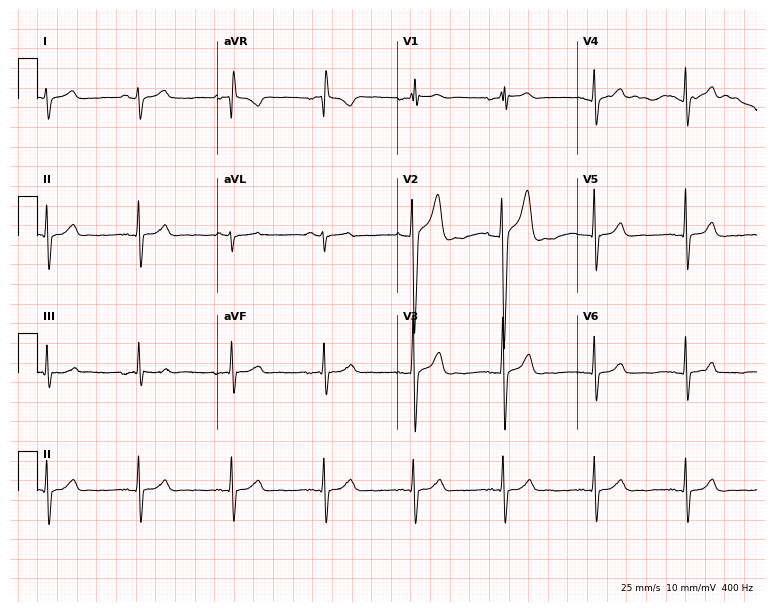
ECG — a male, 44 years old. Labelled as a normal ECG.